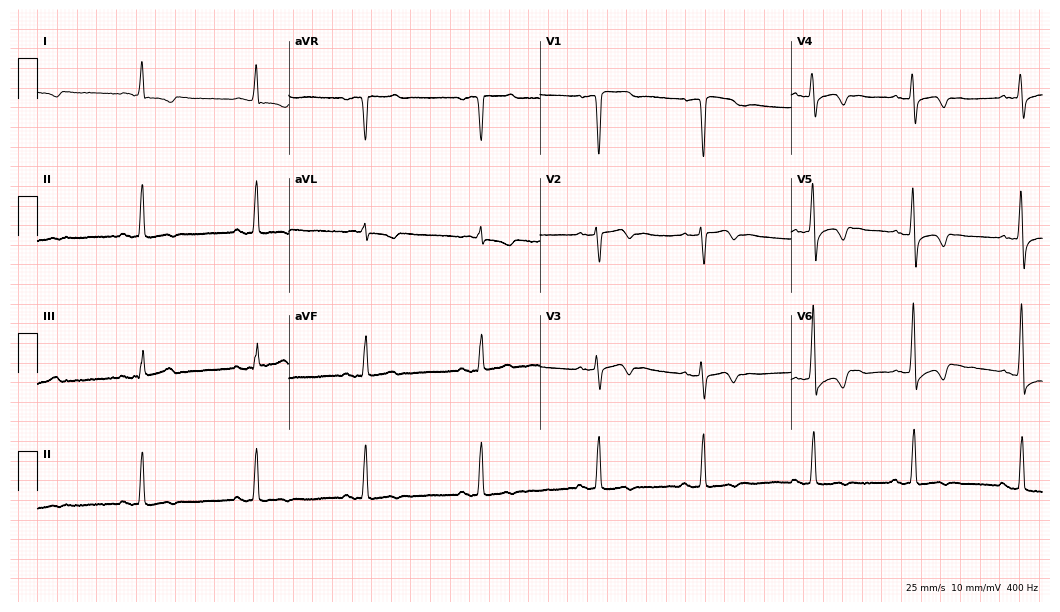
Standard 12-lead ECG recorded from a 75-year-old female patient. None of these six findings is recorded: first-degree AV block, right bundle branch block (RBBB), left bundle branch block (LBBB), sinus bradycardia, atrial fibrillation (AF), sinus tachycardia.